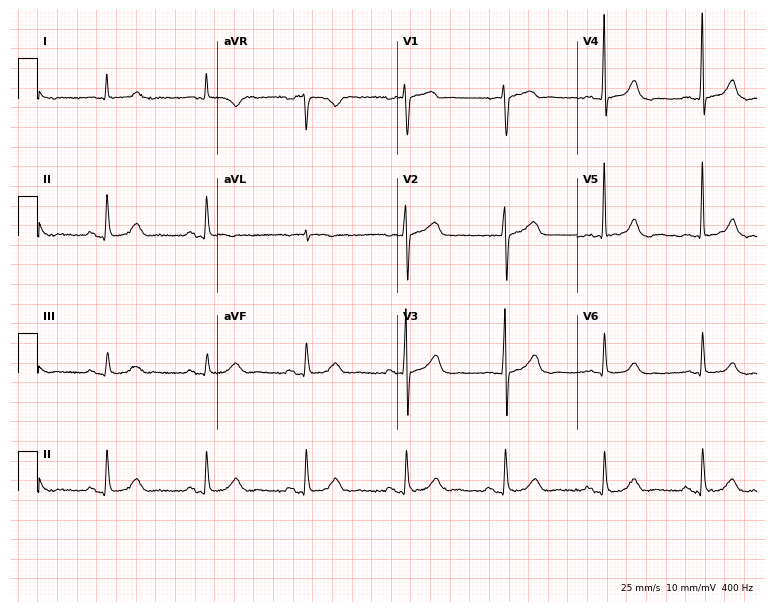
12-lead ECG from a male, 78 years old (7.3-second recording at 400 Hz). Recorded interpretation: within normal limits.